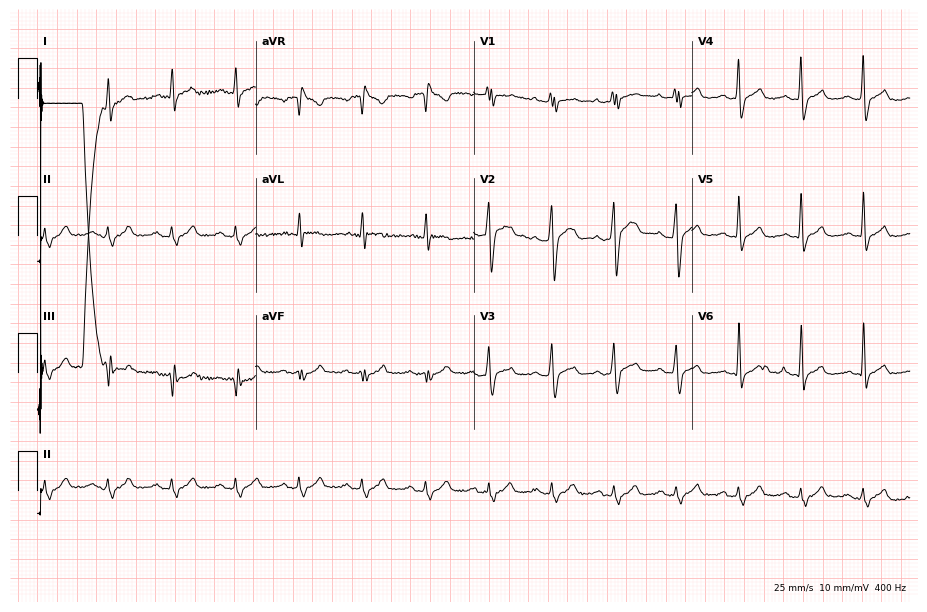
12-lead ECG from a male patient, 21 years old. No first-degree AV block, right bundle branch block (RBBB), left bundle branch block (LBBB), sinus bradycardia, atrial fibrillation (AF) or sinus tachycardia recorded for this tracing.